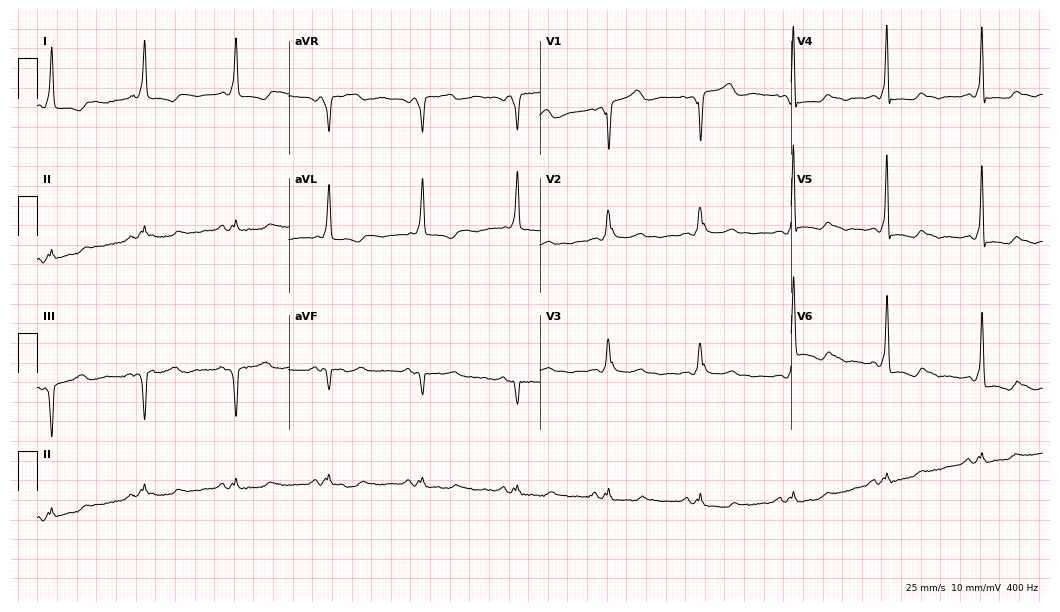
ECG (10.2-second recording at 400 Hz) — a female patient, 64 years old. Screened for six findings — first-degree AV block, right bundle branch block, left bundle branch block, sinus bradycardia, atrial fibrillation, sinus tachycardia — none is recorded. Findings outside these six are not listed.